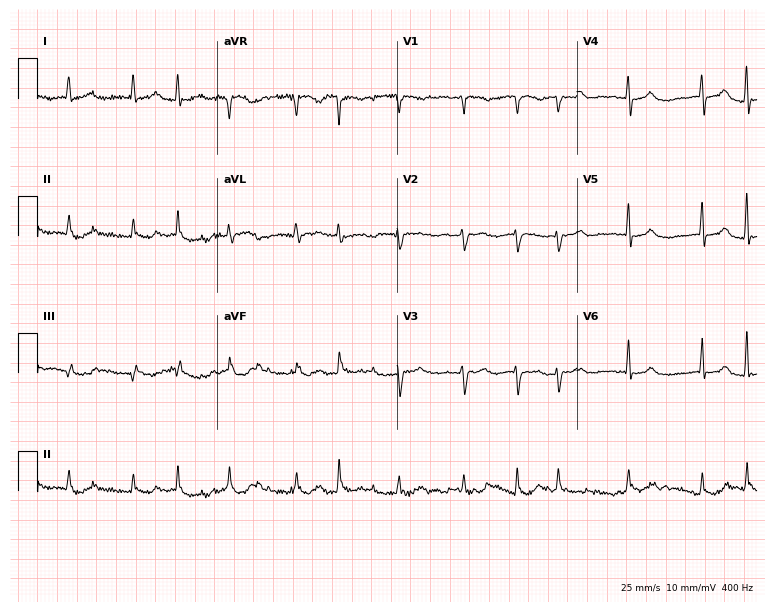
12-lead ECG (7.3-second recording at 400 Hz) from a 77-year-old female. Findings include atrial fibrillation (AF).